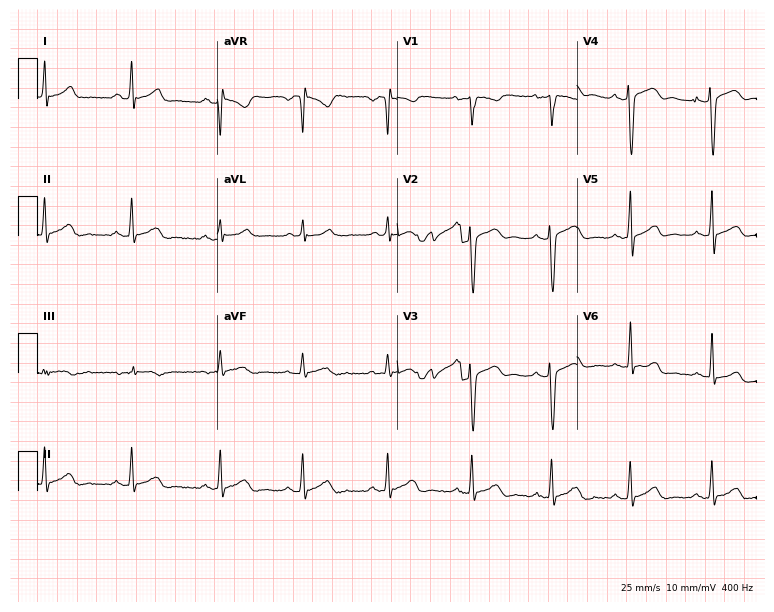
Electrocardiogram, a man, 29 years old. Of the six screened findings (first-degree AV block, right bundle branch block, left bundle branch block, sinus bradycardia, atrial fibrillation, sinus tachycardia), none is recorded. Findings outside these six are not listed.